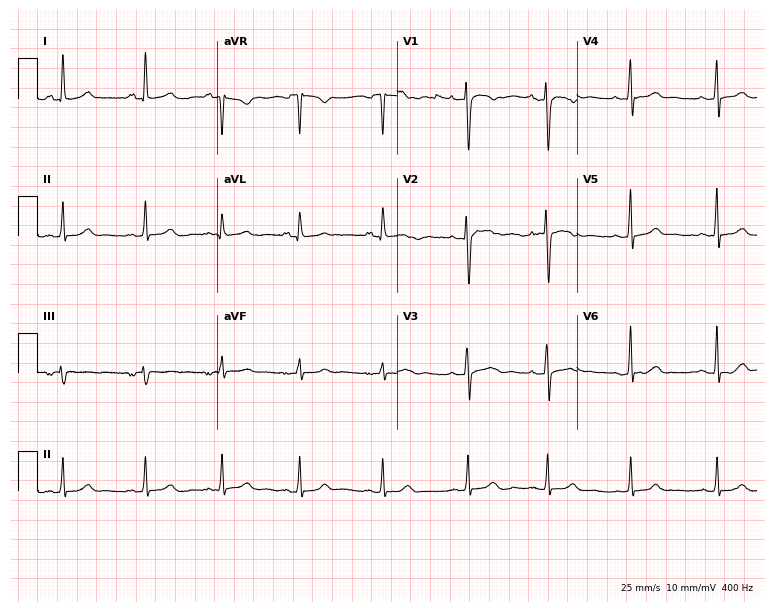
Electrocardiogram (7.3-second recording at 400 Hz), a female patient, 30 years old. Overall reading on record: normal ECG.